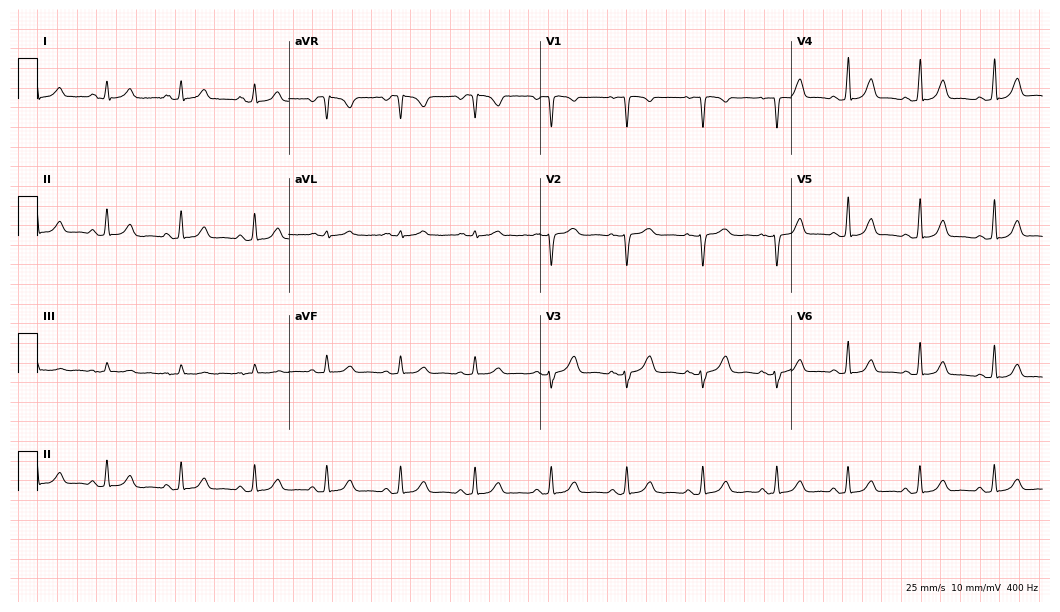
Resting 12-lead electrocardiogram. Patient: a 22-year-old woman. Read as a normal ECG.